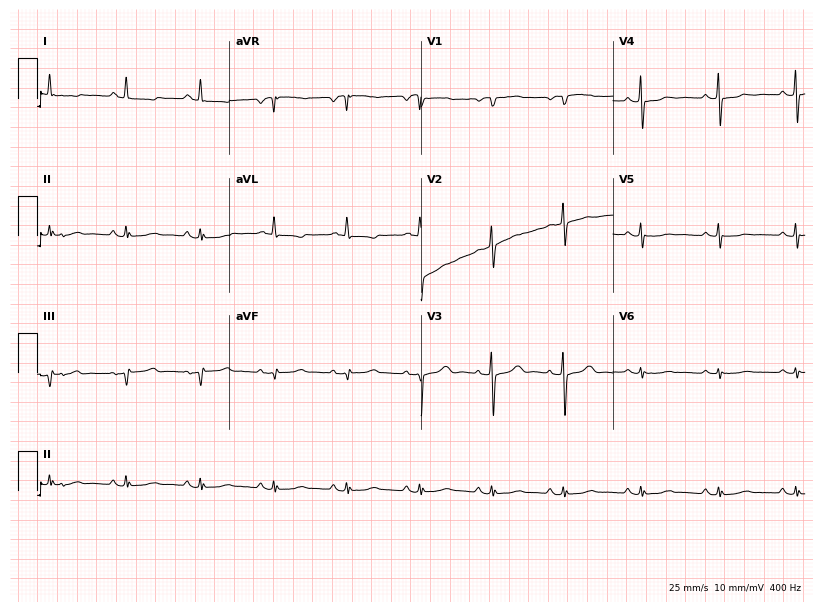
Electrocardiogram, a 71-year-old woman. Of the six screened findings (first-degree AV block, right bundle branch block (RBBB), left bundle branch block (LBBB), sinus bradycardia, atrial fibrillation (AF), sinus tachycardia), none is recorded.